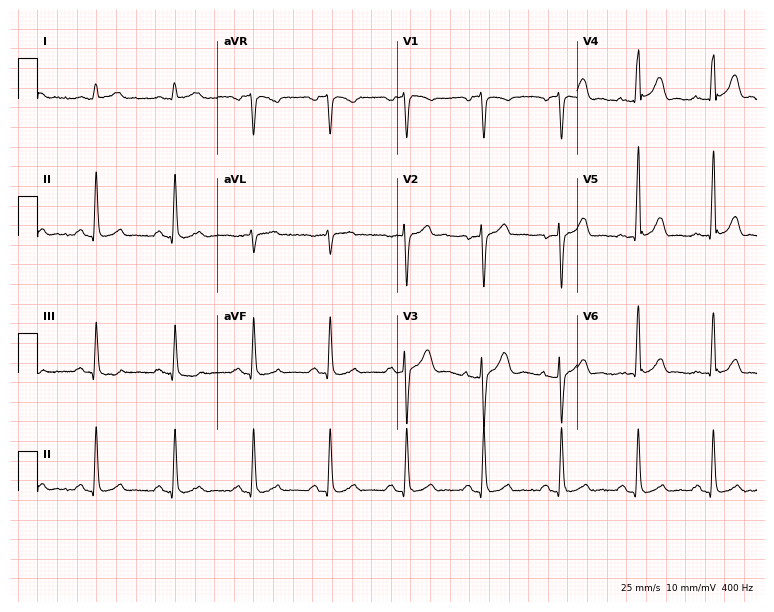
Electrocardiogram, a male patient, 55 years old. Overall reading on record: normal ECG.